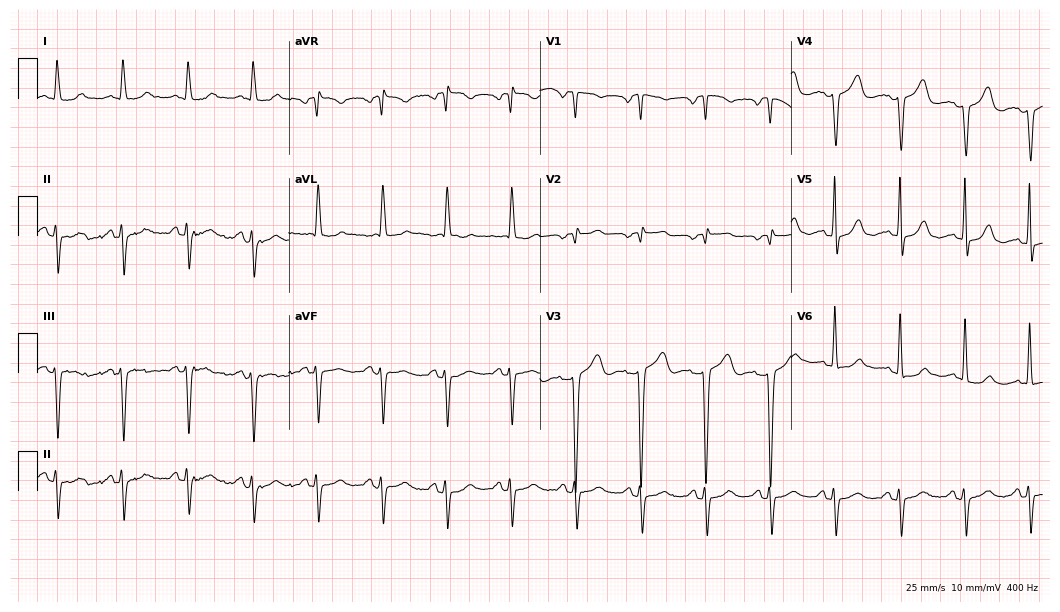
Resting 12-lead electrocardiogram. Patient: a female, 73 years old. None of these six findings is recorded: first-degree AV block, right bundle branch block, left bundle branch block, sinus bradycardia, atrial fibrillation, sinus tachycardia. Findings outside these six are not listed.